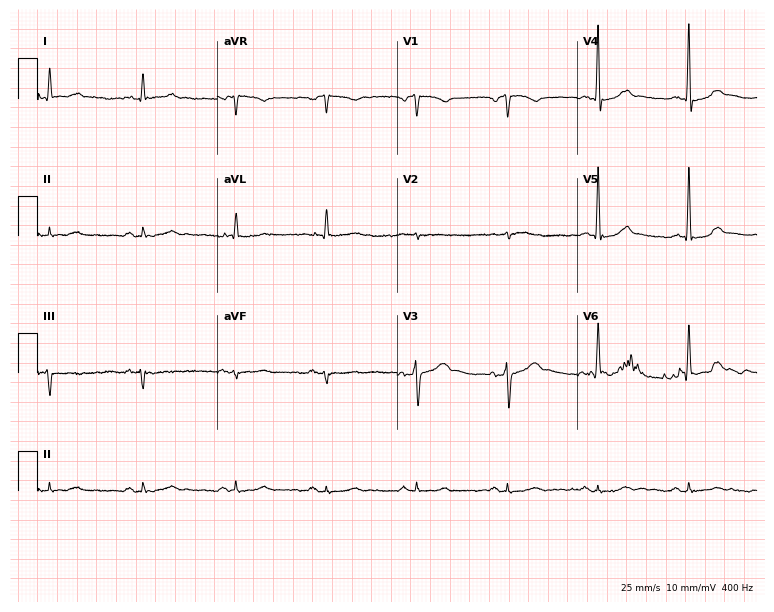
12-lead ECG from a 77-year-old male (7.3-second recording at 400 Hz). No first-degree AV block, right bundle branch block, left bundle branch block, sinus bradycardia, atrial fibrillation or sinus tachycardia recorded for this tracing.